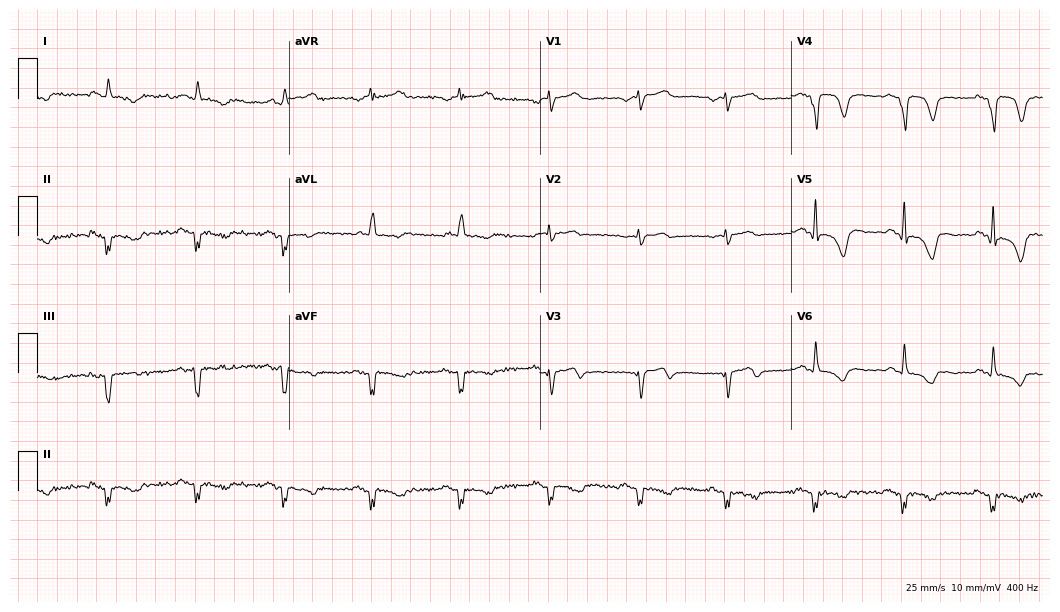
Resting 12-lead electrocardiogram (10.2-second recording at 400 Hz). Patient: a 62-year-old male. Read as a normal ECG.